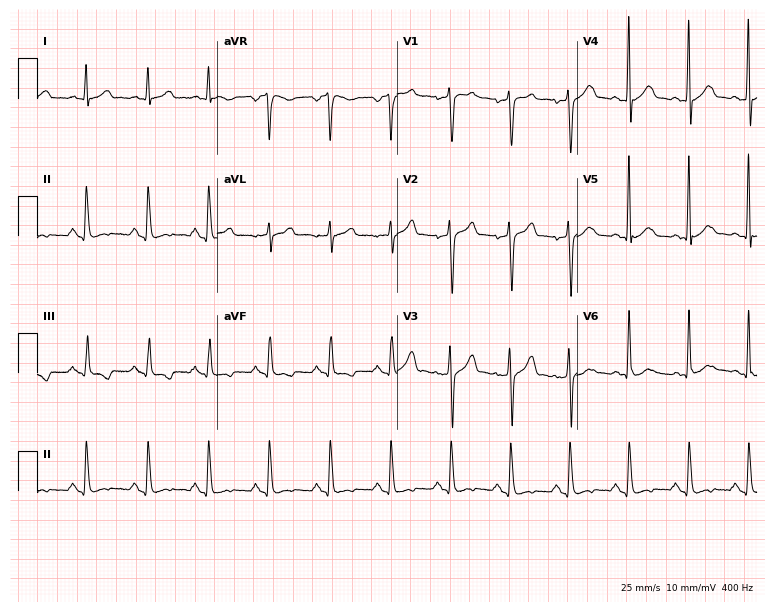
ECG — a 47-year-old man. Screened for six findings — first-degree AV block, right bundle branch block, left bundle branch block, sinus bradycardia, atrial fibrillation, sinus tachycardia — none is recorded.